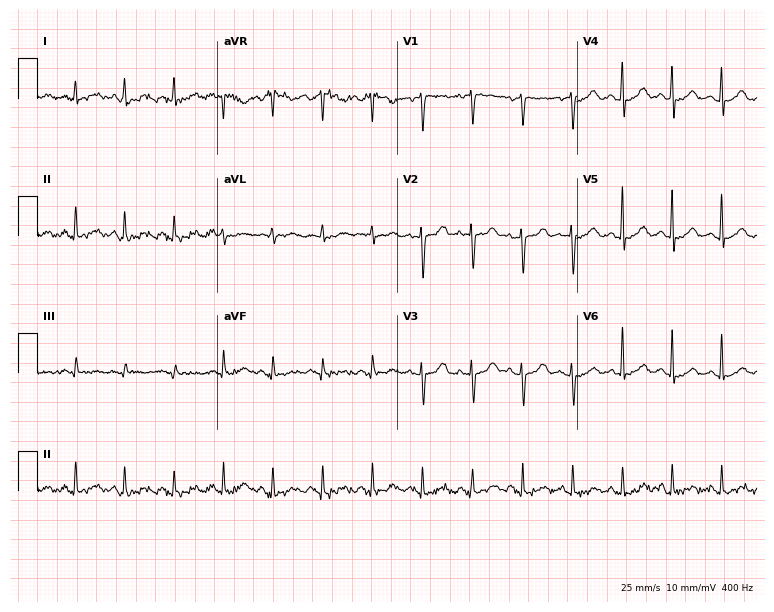
12-lead ECG from a woman, 41 years old. Shows sinus tachycardia (a sinus rate of 100 beats per minute or more).